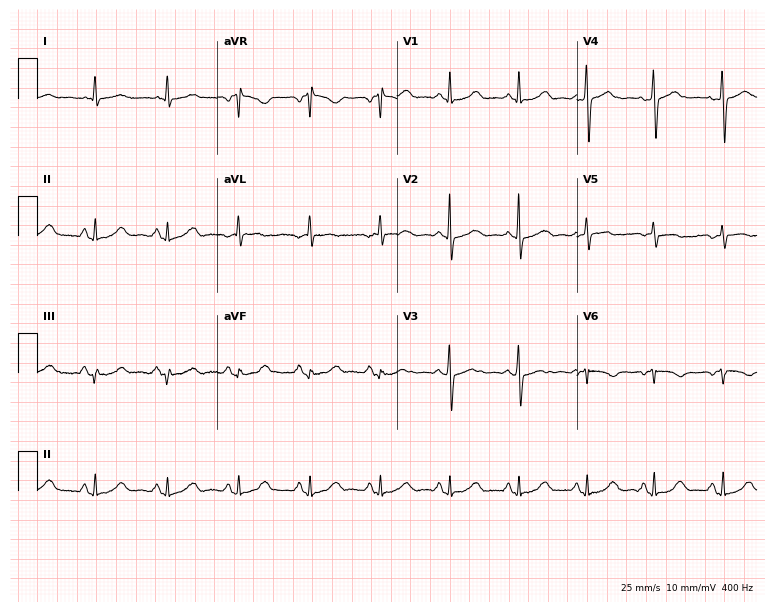
Resting 12-lead electrocardiogram (7.3-second recording at 400 Hz). Patient: a female, 57 years old. None of these six findings is recorded: first-degree AV block, right bundle branch block, left bundle branch block, sinus bradycardia, atrial fibrillation, sinus tachycardia. Findings outside these six are not listed.